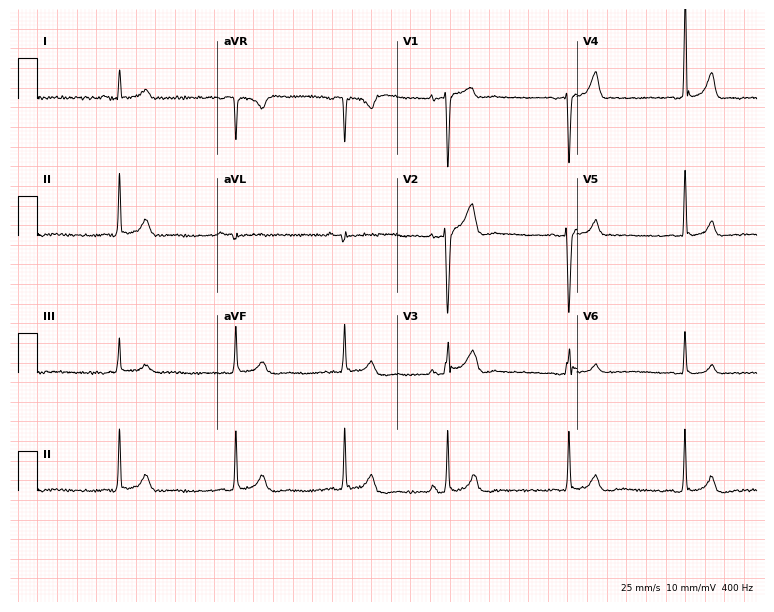
ECG — a male patient, 32 years old. Labelled as a normal ECG.